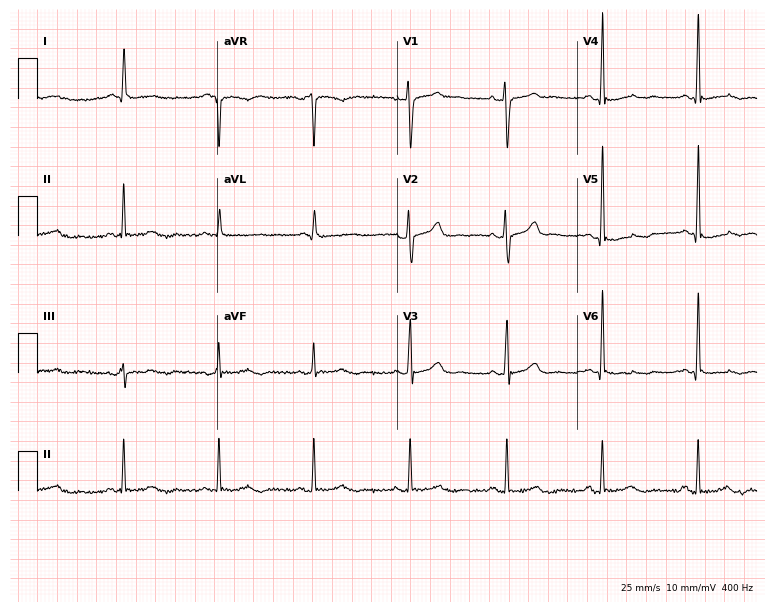
Resting 12-lead electrocardiogram. Patient: a 67-year-old female. None of these six findings is recorded: first-degree AV block, right bundle branch block, left bundle branch block, sinus bradycardia, atrial fibrillation, sinus tachycardia. Only these six findings were labelled.